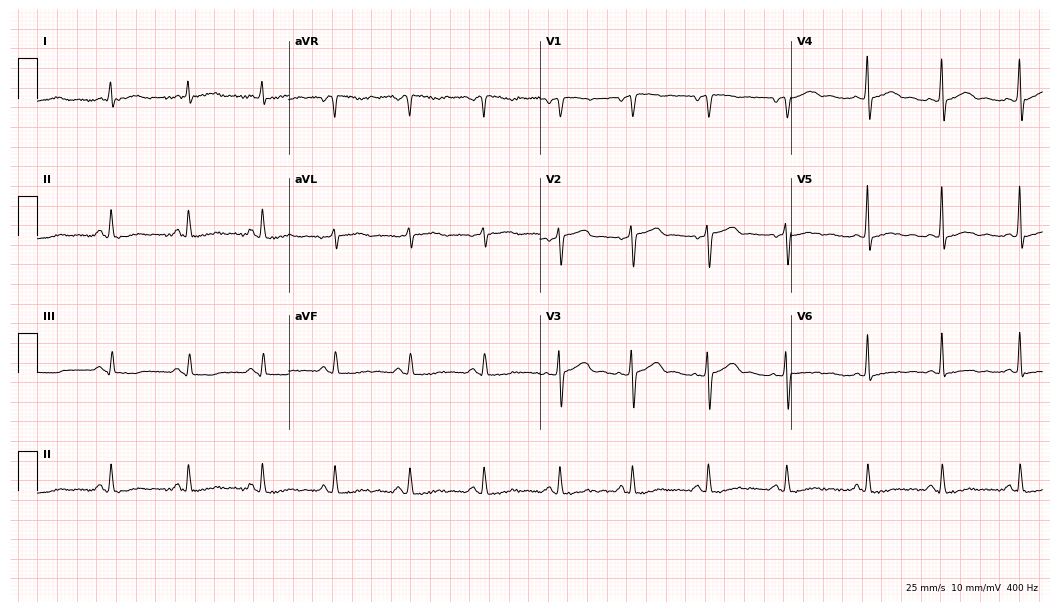
ECG (10.2-second recording at 400 Hz) — a male, 75 years old. Screened for six findings — first-degree AV block, right bundle branch block (RBBB), left bundle branch block (LBBB), sinus bradycardia, atrial fibrillation (AF), sinus tachycardia — none is recorded.